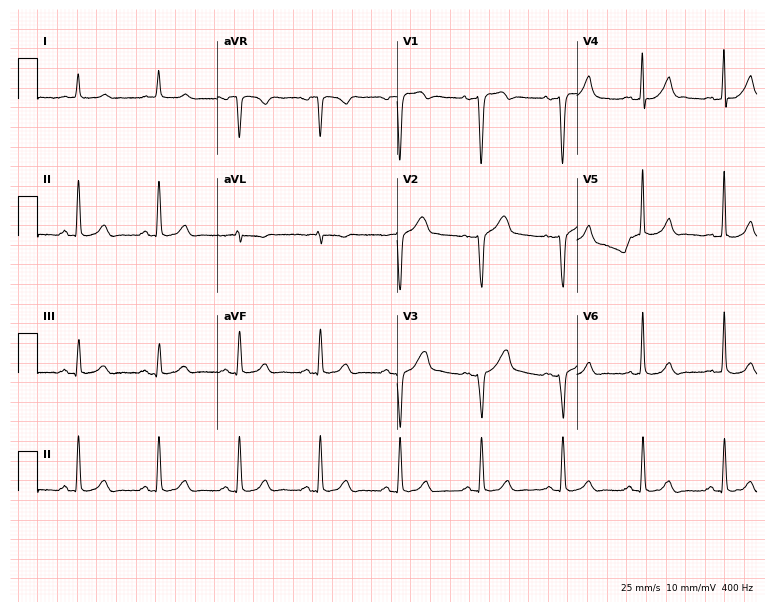
ECG — a male patient, 83 years old. Screened for six findings — first-degree AV block, right bundle branch block (RBBB), left bundle branch block (LBBB), sinus bradycardia, atrial fibrillation (AF), sinus tachycardia — none is recorded.